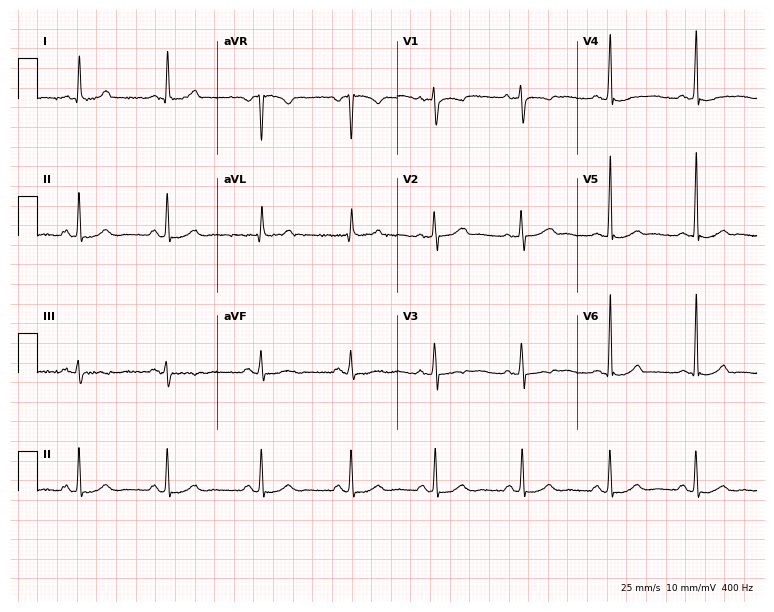
12-lead ECG from a female, 40 years old. Screened for six findings — first-degree AV block, right bundle branch block, left bundle branch block, sinus bradycardia, atrial fibrillation, sinus tachycardia — none is recorded. Only these six findings were labelled.